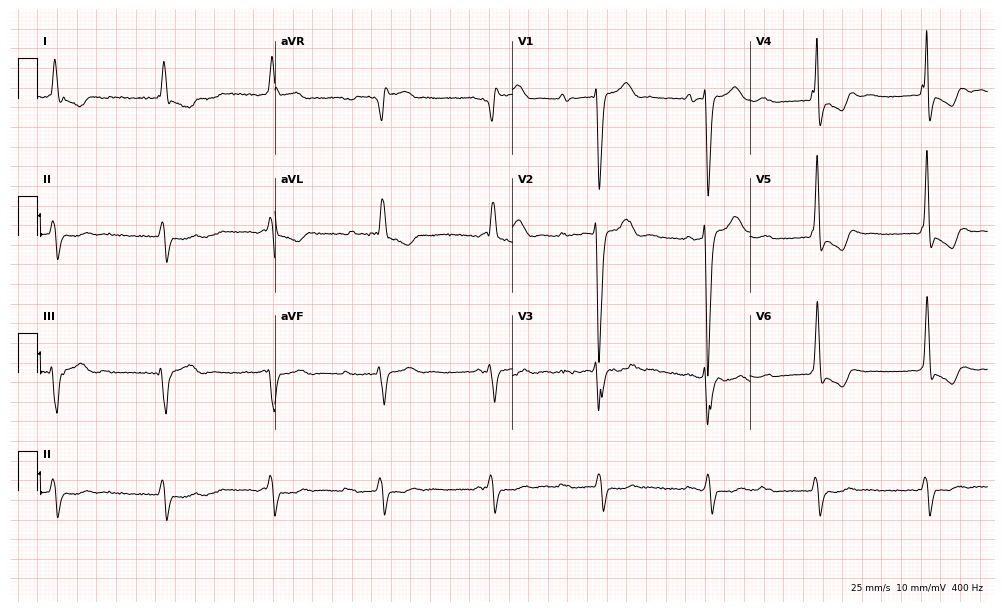
12-lead ECG (9.7-second recording at 400 Hz) from a male, 82 years old. Screened for six findings — first-degree AV block, right bundle branch block (RBBB), left bundle branch block (LBBB), sinus bradycardia, atrial fibrillation (AF), sinus tachycardia — none is recorded.